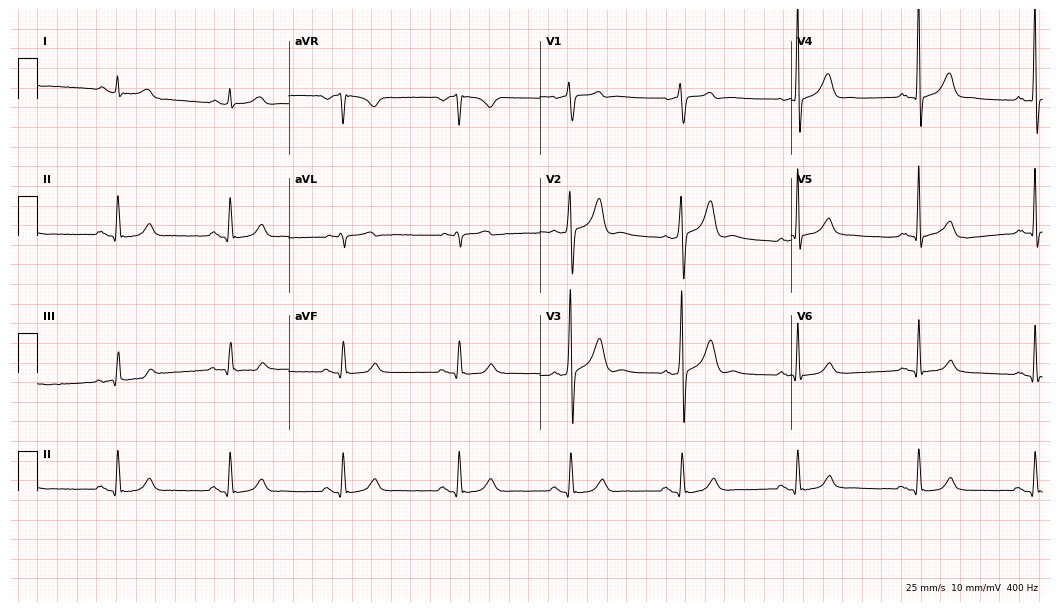
Resting 12-lead electrocardiogram (10.2-second recording at 400 Hz). Patient: a man, 43 years old. Read as a normal ECG.